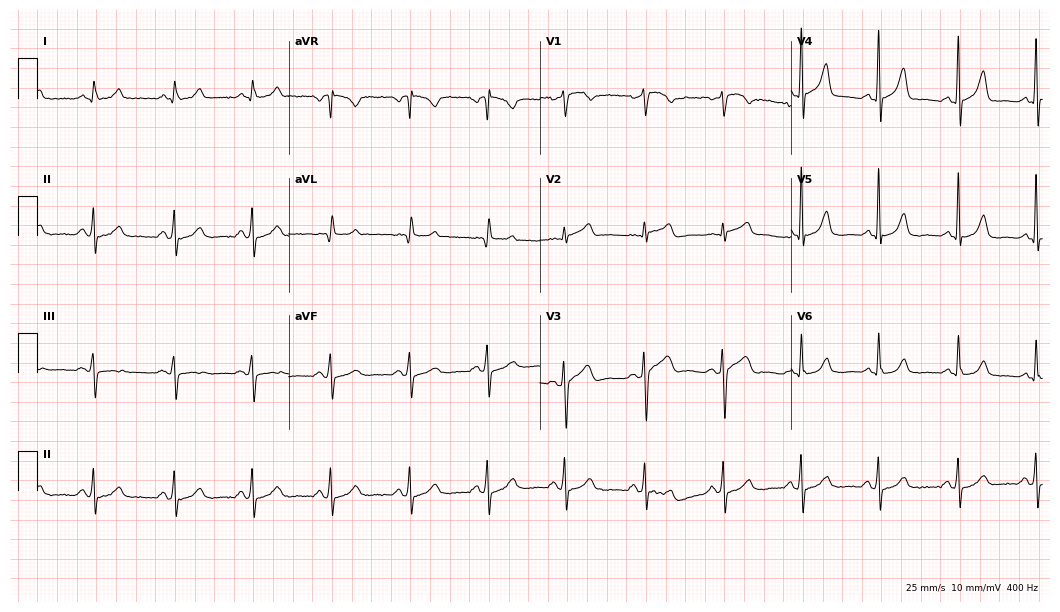
Resting 12-lead electrocardiogram. Patient: a woman, 75 years old. Read as a normal ECG.